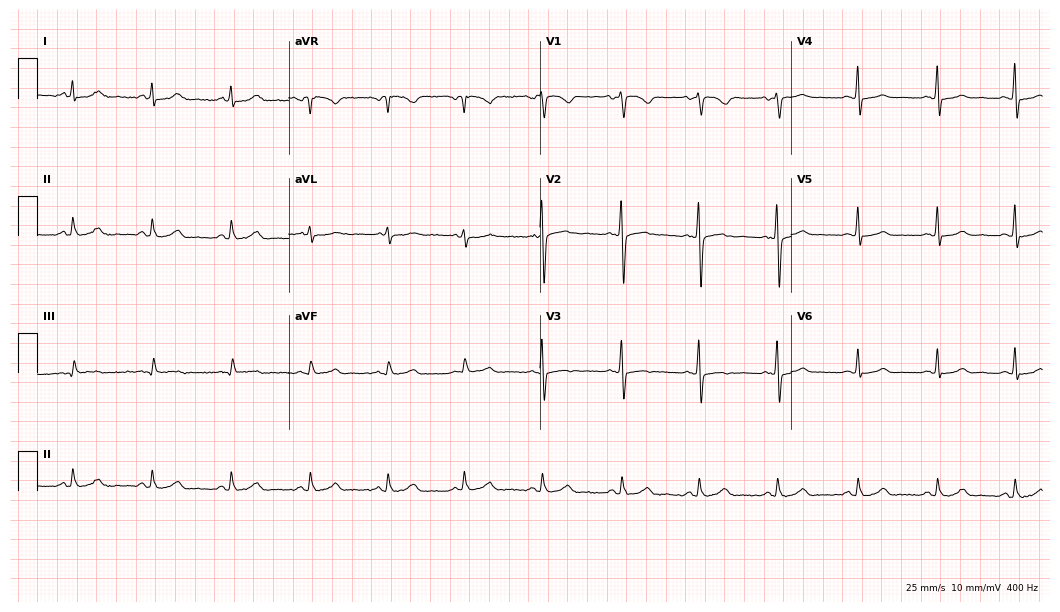
12-lead ECG from a 48-year-old female. Screened for six findings — first-degree AV block, right bundle branch block, left bundle branch block, sinus bradycardia, atrial fibrillation, sinus tachycardia — none is recorded. Other findings, if any, are not listed.